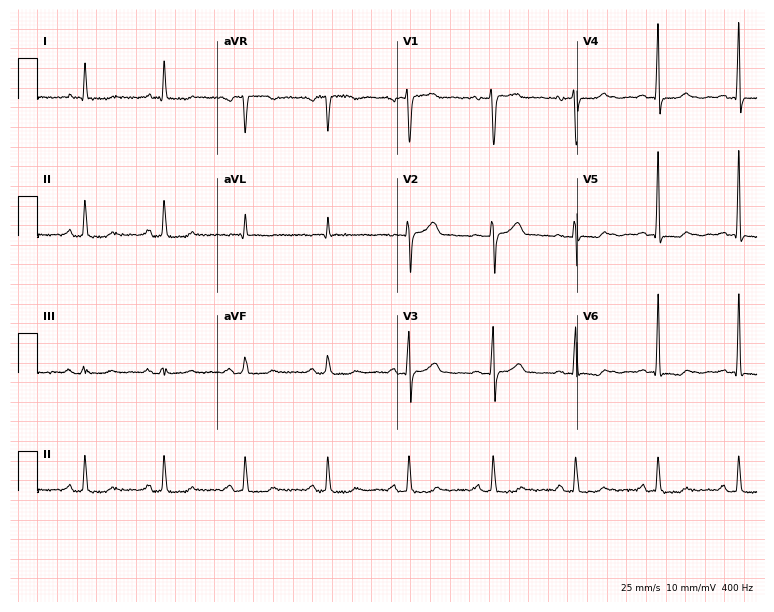
Standard 12-lead ECG recorded from a woman, 71 years old. None of these six findings is recorded: first-degree AV block, right bundle branch block (RBBB), left bundle branch block (LBBB), sinus bradycardia, atrial fibrillation (AF), sinus tachycardia.